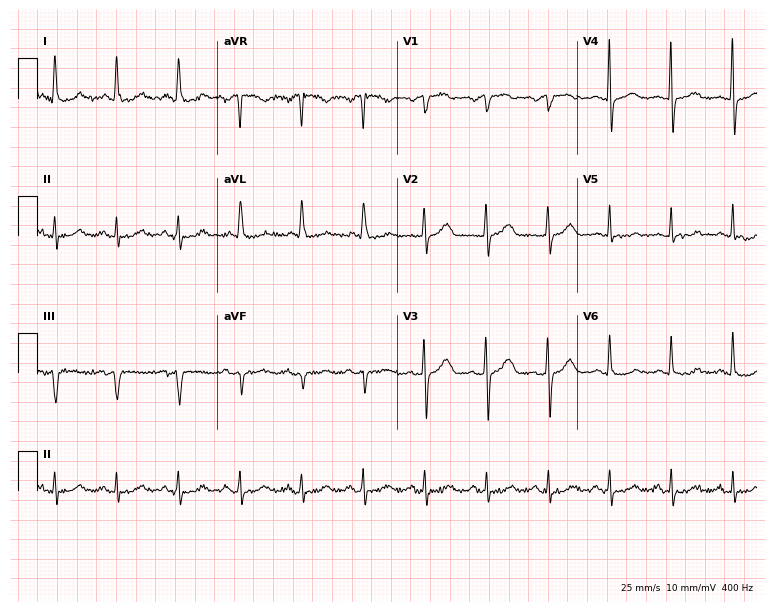
12-lead ECG (7.3-second recording at 400 Hz) from a 73-year-old female. Screened for six findings — first-degree AV block, right bundle branch block, left bundle branch block, sinus bradycardia, atrial fibrillation, sinus tachycardia — none is recorded. Findings outside these six are not listed.